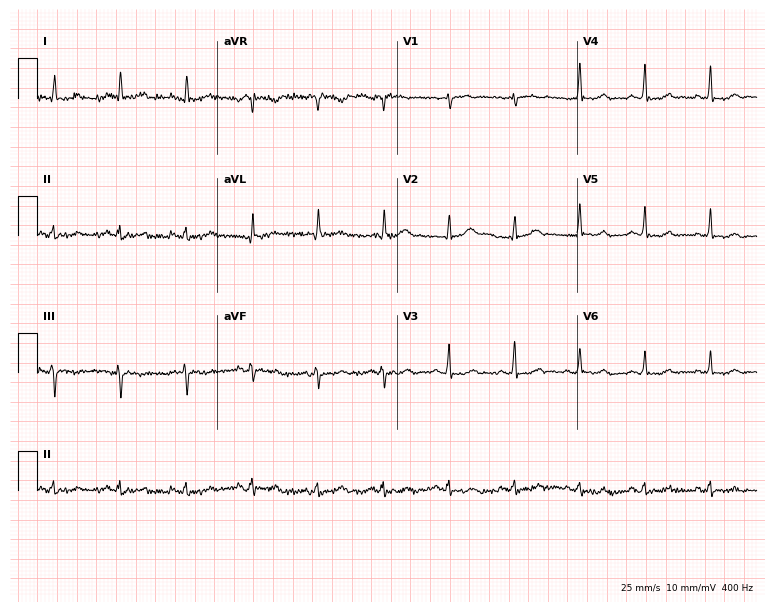
ECG — a man, 79 years old. Screened for six findings — first-degree AV block, right bundle branch block, left bundle branch block, sinus bradycardia, atrial fibrillation, sinus tachycardia — none is recorded.